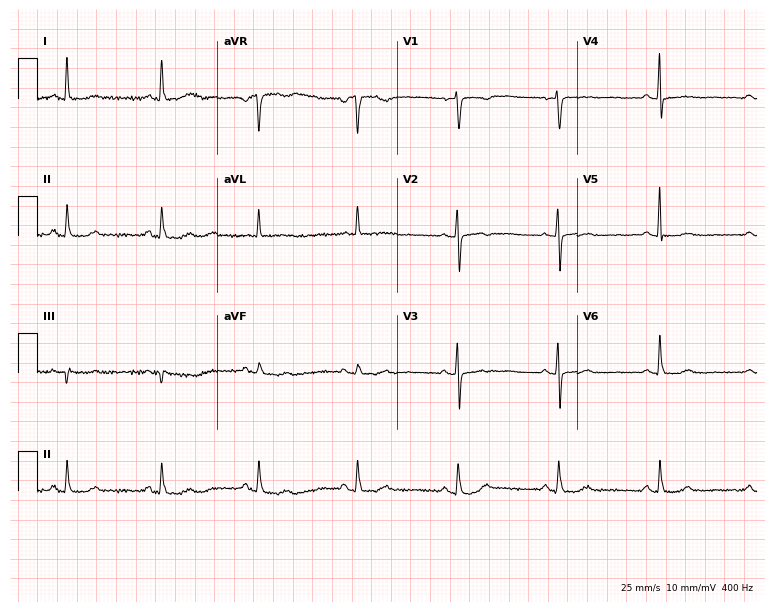
Resting 12-lead electrocardiogram (7.3-second recording at 400 Hz). Patient: a woman, 66 years old. None of these six findings is recorded: first-degree AV block, right bundle branch block, left bundle branch block, sinus bradycardia, atrial fibrillation, sinus tachycardia. Other findings, if any, are not listed.